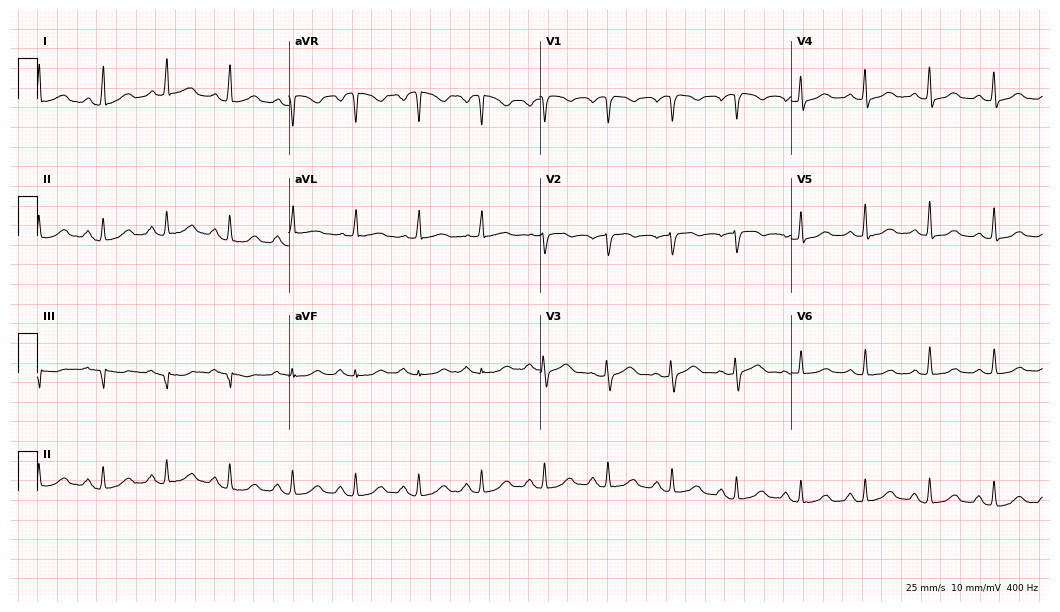
ECG (10.2-second recording at 400 Hz) — a 53-year-old female patient. Screened for six findings — first-degree AV block, right bundle branch block, left bundle branch block, sinus bradycardia, atrial fibrillation, sinus tachycardia — none is recorded. Other findings, if any, are not listed.